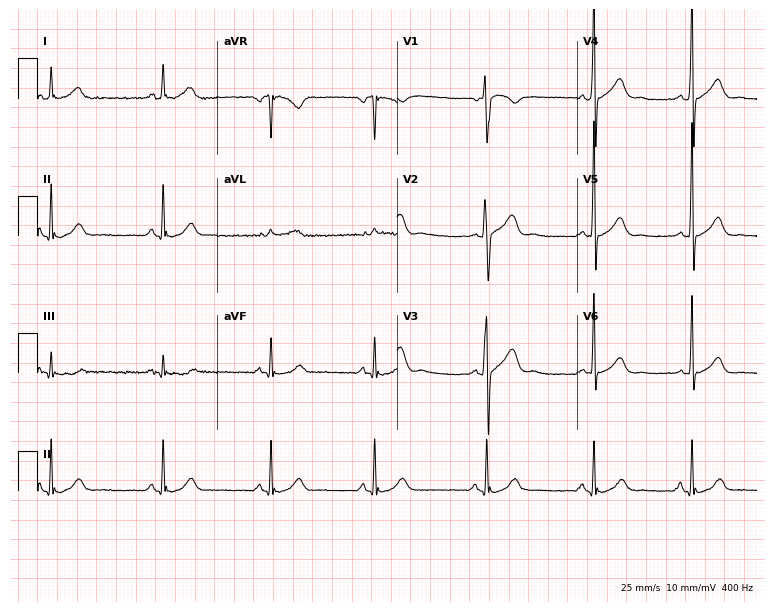
12-lead ECG from a 32-year-old male patient. Labelled as a normal ECG.